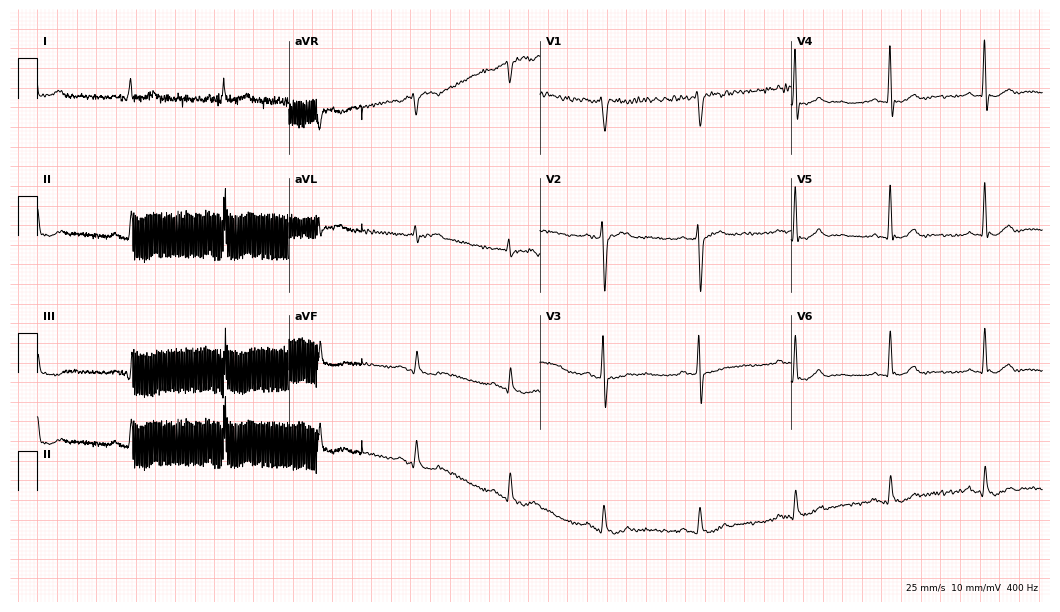
12-lead ECG (10.2-second recording at 400 Hz) from a male patient, 69 years old. Screened for six findings — first-degree AV block, right bundle branch block, left bundle branch block, sinus bradycardia, atrial fibrillation, sinus tachycardia — none is recorded. Only these six findings were labelled.